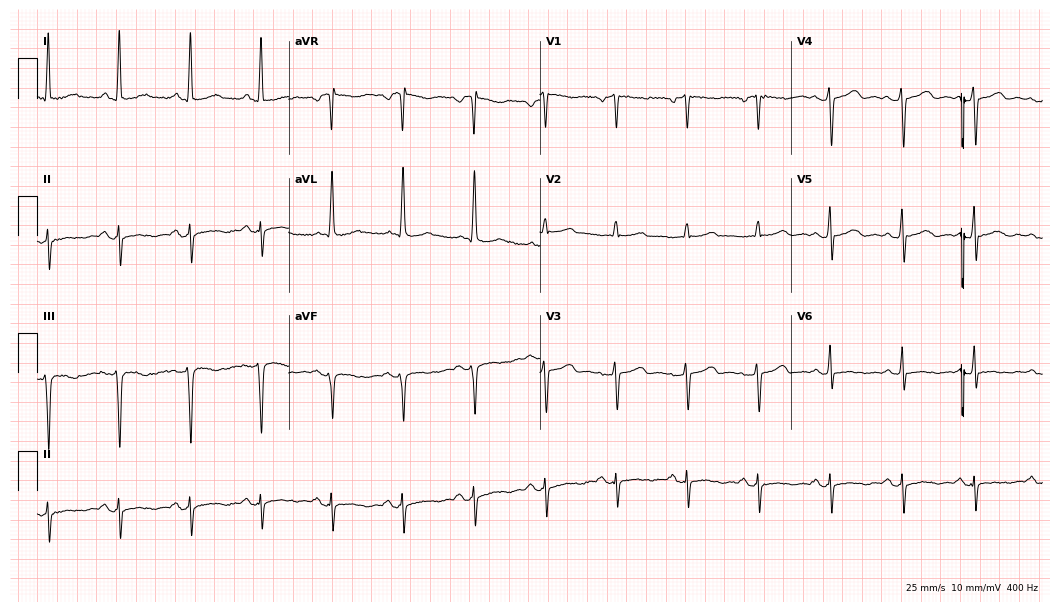
12-lead ECG from a 50-year-old female. No first-degree AV block, right bundle branch block (RBBB), left bundle branch block (LBBB), sinus bradycardia, atrial fibrillation (AF) or sinus tachycardia recorded for this tracing. Findings outside these six are not listed.